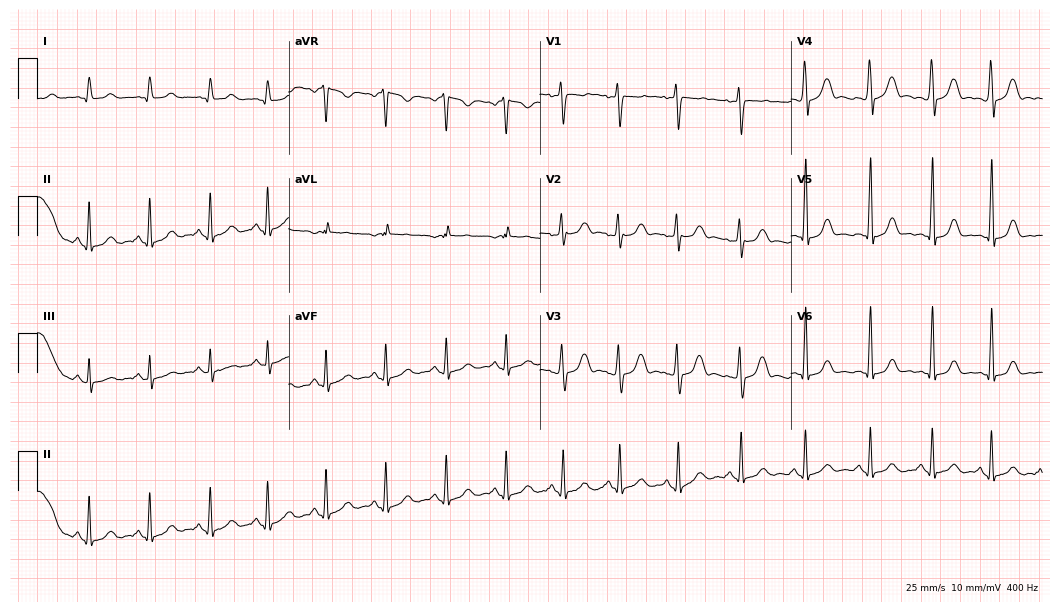
12-lead ECG (10.2-second recording at 400 Hz) from a 24-year-old female patient. Screened for six findings — first-degree AV block, right bundle branch block, left bundle branch block, sinus bradycardia, atrial fibrillation, sinus tachycardia — none is recorded.